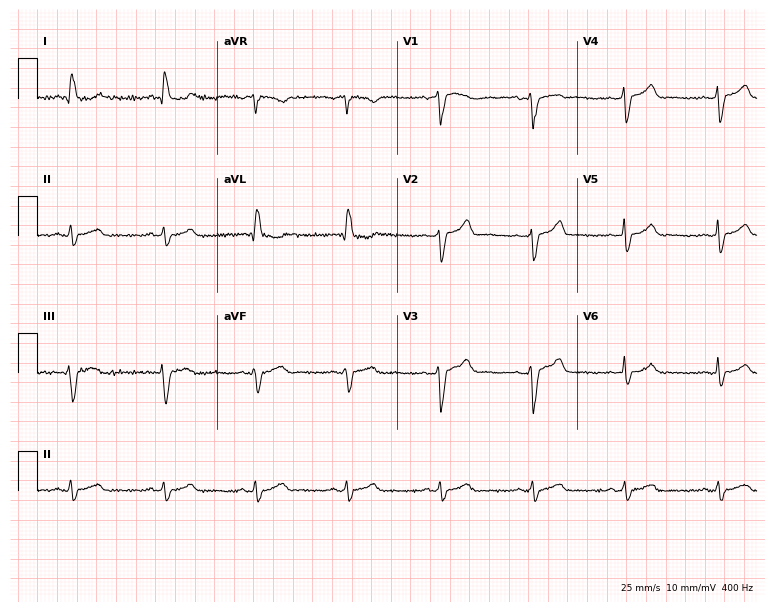
Resting 12-lead electrocardiogram. Patient: a female, 41 years old. None of these six findings is recorded: first-degree AV block, right bundle branch block (RBBB), left bundle branch block (LBBB), sinus bradycardia, atrial fibrillation (AF), sinus tachycardia.